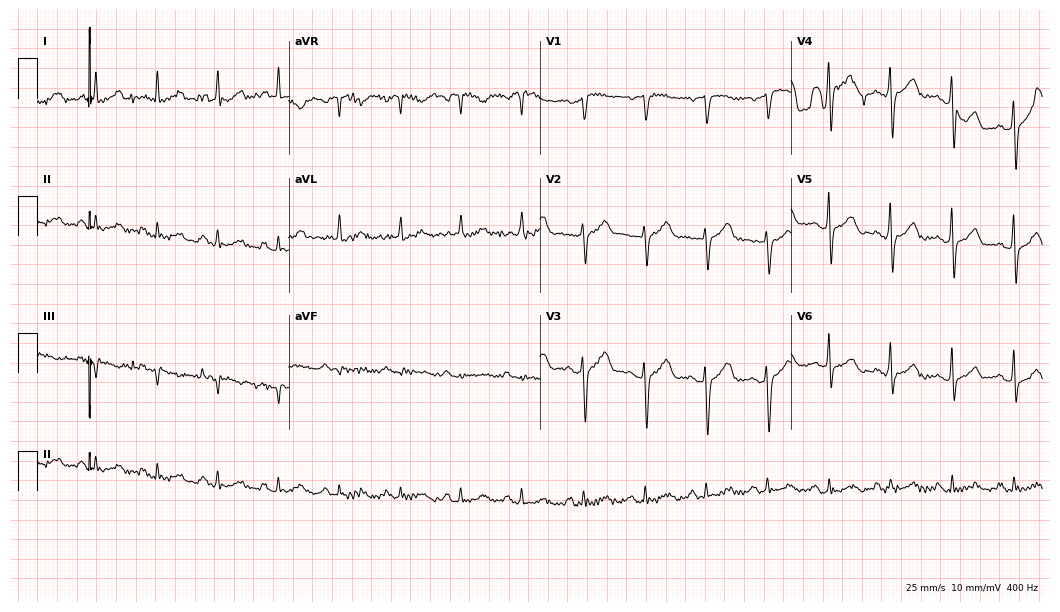
Standard 12-lead ECG recorded from a 50-year-old male patient (10.2-second recording at 400 Hz). None of these six findings is recorded: first-degree AV block, right bundle branch block (RBBB), left bundle branch block (LBBB), sinus bradycardia, atrial fibrillation (AF), sinus tachycardia. Other findings, if any, are not listed.